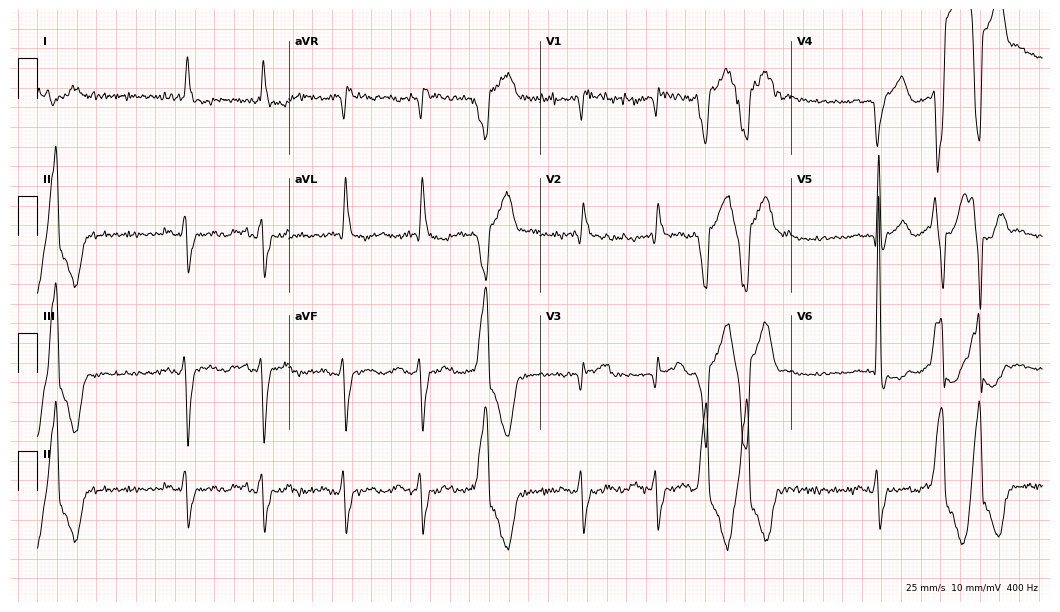
ECG — a man, 69 years old. Screened for six findings — first-degree AV block, right bundle branch block (RBBB), left bundle branch block (LBBB), sinus bradycardia, atrial fibrillation (AF), sinus tachycardia — none is recorded.